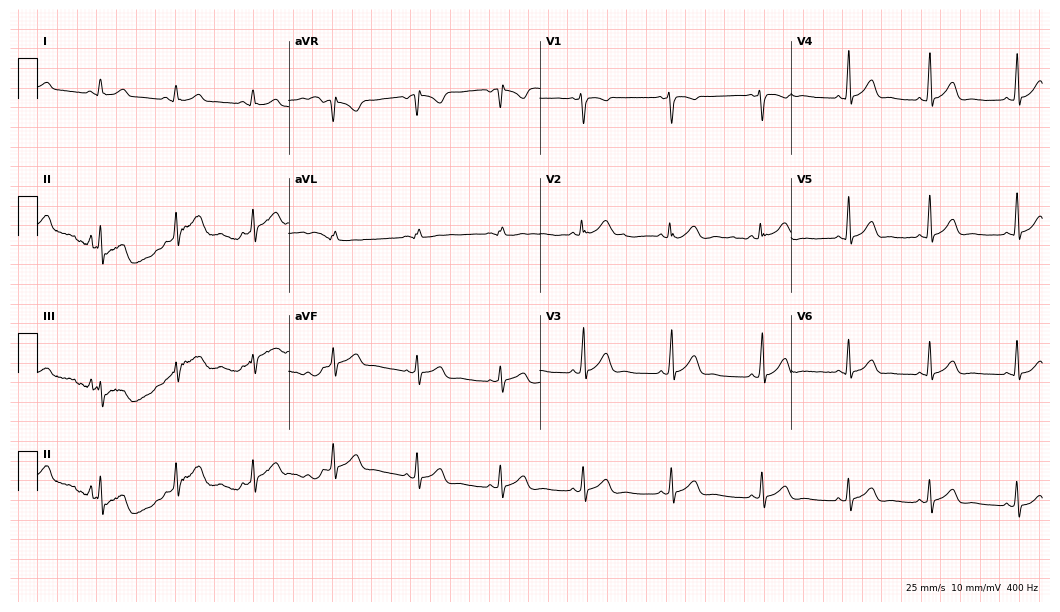
Electrocardiogram (10.2-second recording at 400 Hz), a 24-year-old woman. Of the six screened findings (first-degree AV block, right bundle branch block, left bundle branch block, sinus bradycardia, atrial fibrillation, sinus tachycardia), none is recorded.